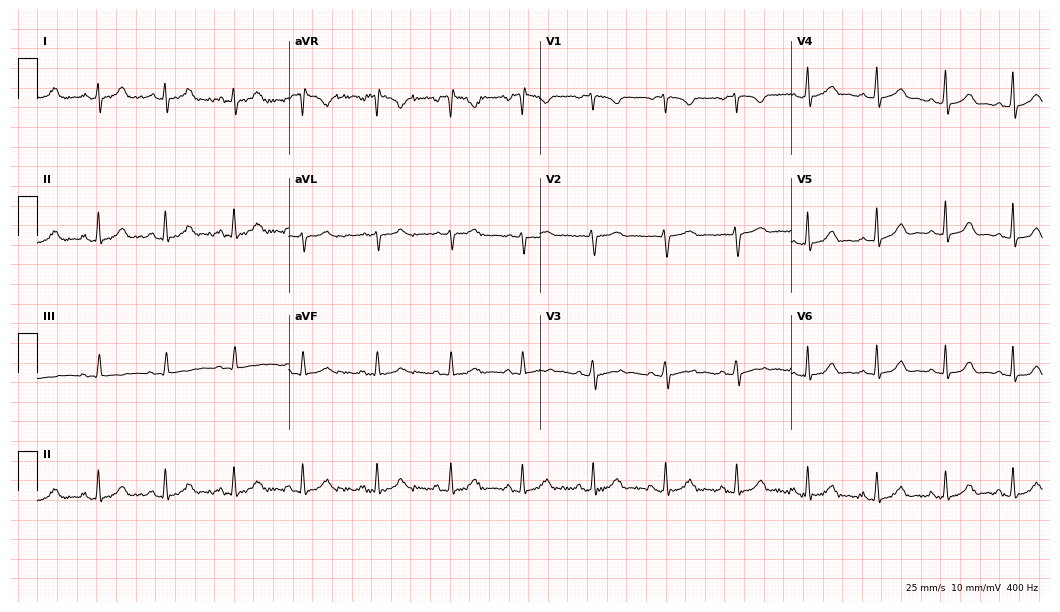
12-lead ECG from a 17-year-old woman (10.2-second recording at 400 Hz). Recorded interpretation: within normal limits.